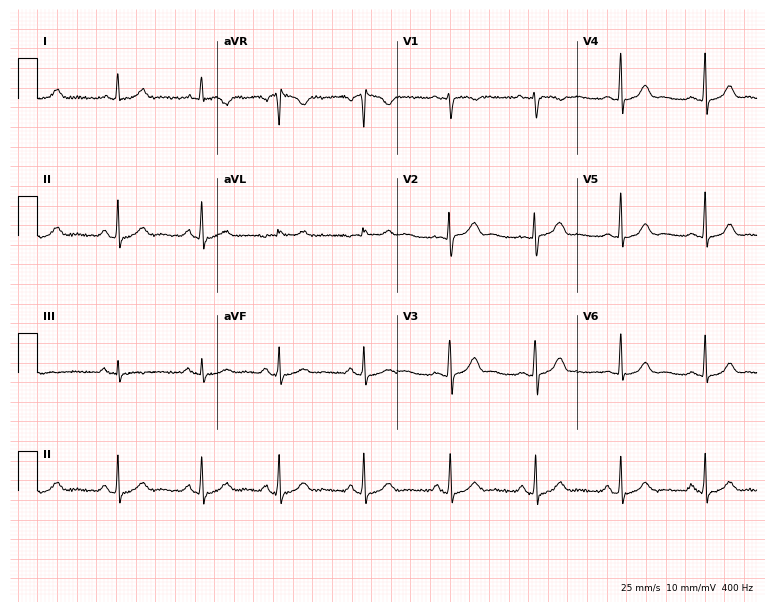
12-lead ECG from a 25-year-old female. Labelled as a normal ECG.